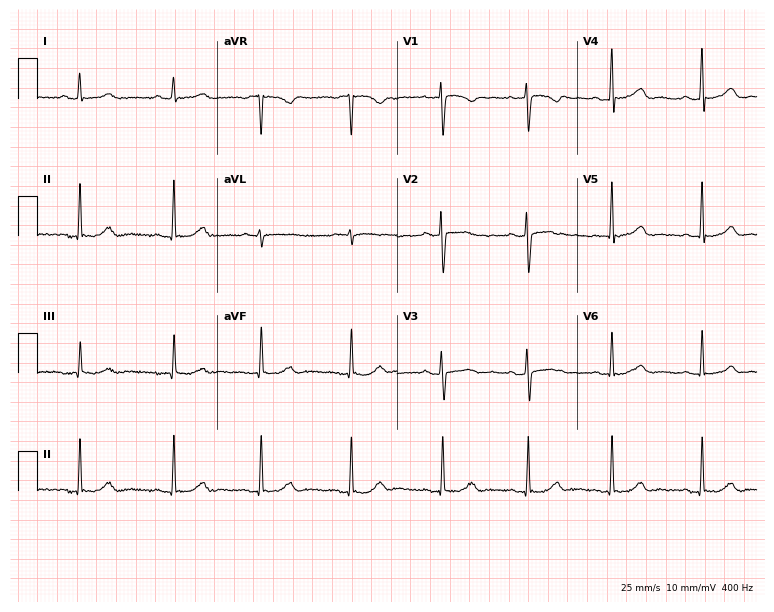
ECG — a female, 43 years old. Labelled as a normal ECG.